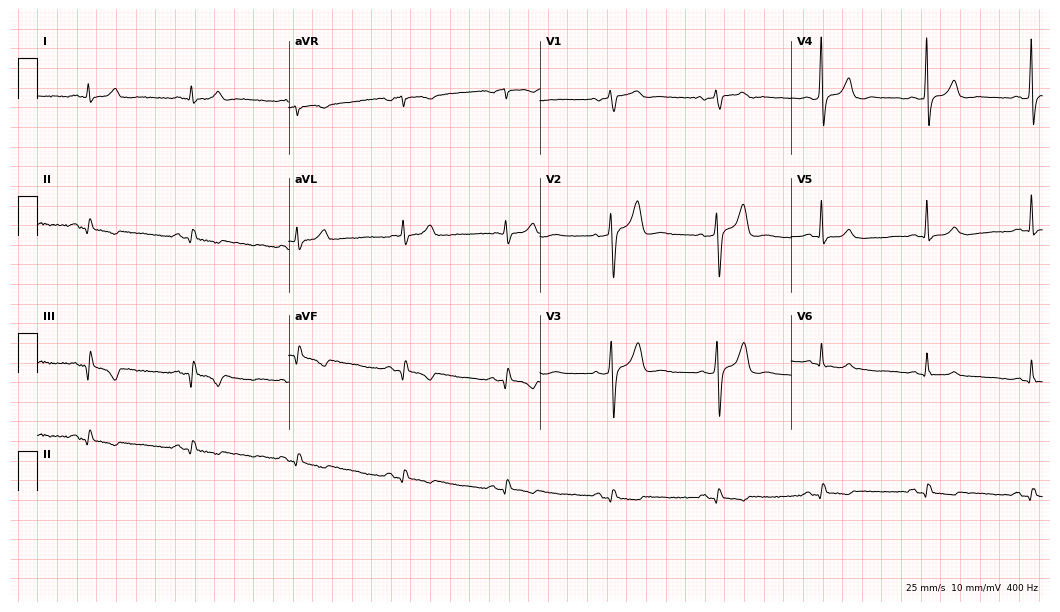
12-lead ECG from a 65-year-old man (10.2-second recording at 400 Hz). No first-degree AV block, right bundle branch block, left bundle branch block, sinus bradycardia, atrial fibrillation or sinus tachycardia recorded for this tracing.